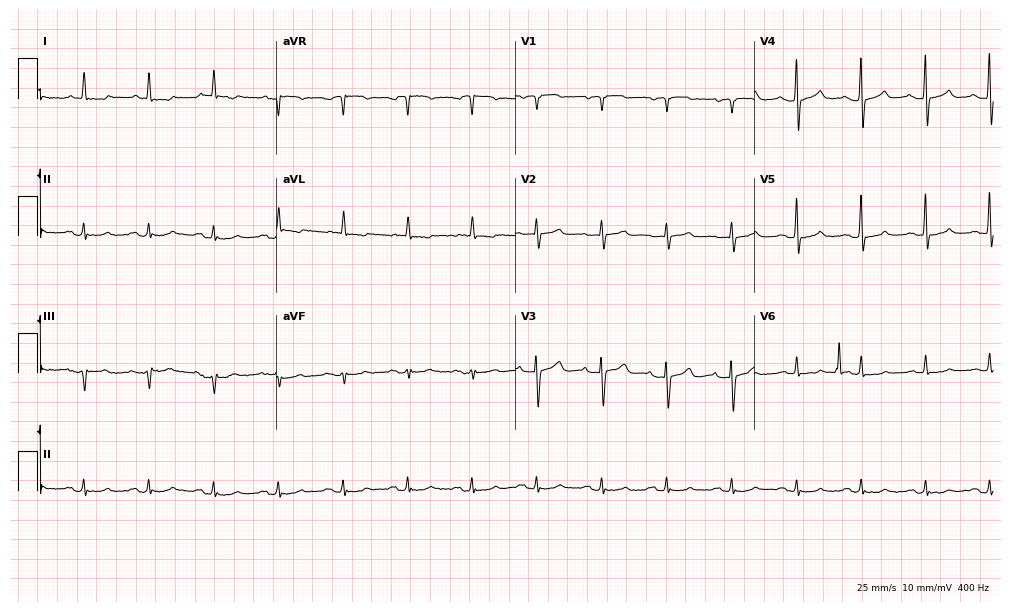
Standard 12-lead ECG recorded from a 76-year-old woman (9.7-second recording at 400 Hz). None of these six findings is recorded: first-degree AV block, right bundle branch block, left bundle branch block, sinus bradycardia, atrial fibrillation, sinus tachycardia.